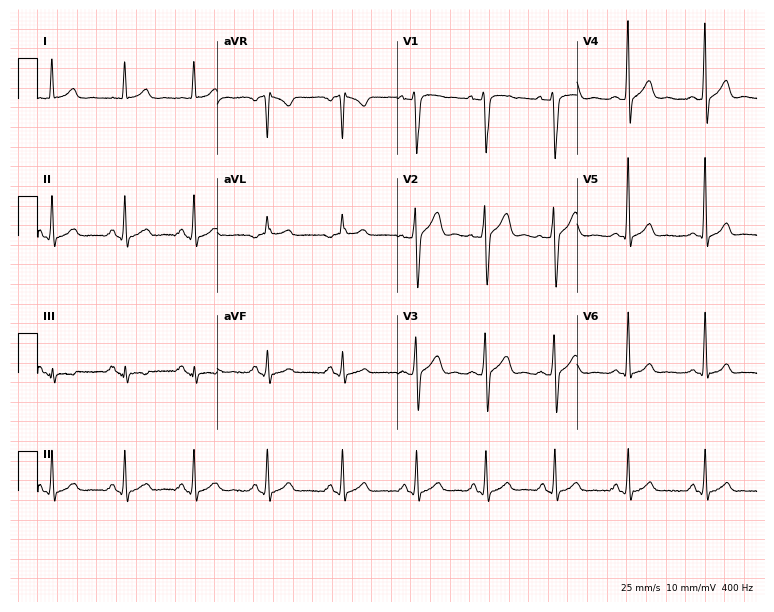
Standard 12-lead ECG recorded from a 24-year-old man. Read as a normal ECG.